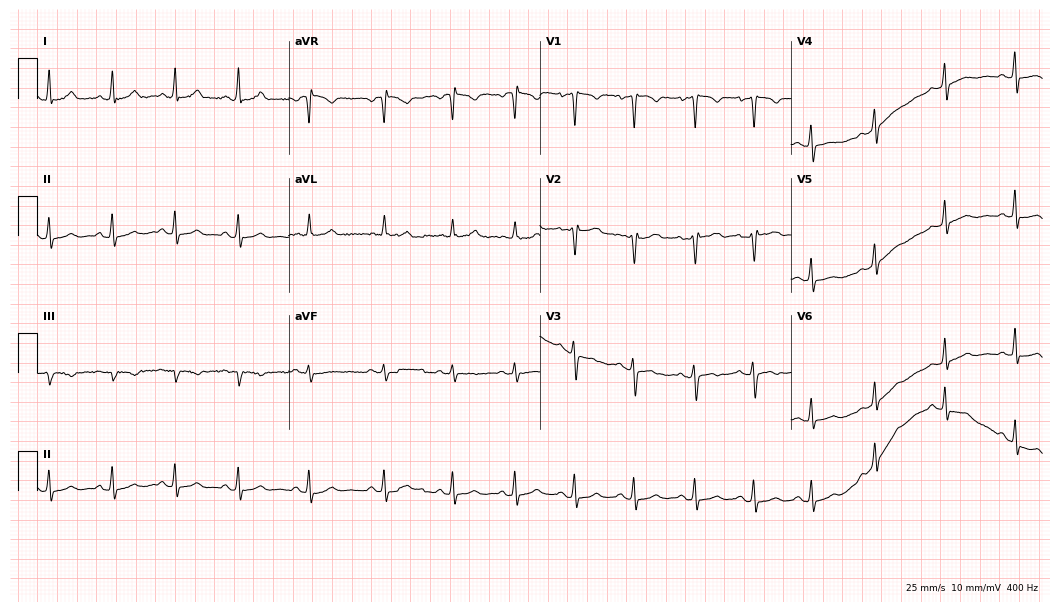
Resting 12-lead electrocardiogram. Patient: a female, 31 years old. None of these six findings is recorded: first-degree AV block, right bundle branch block, left bundle branch block, sinus bradycardia, atrial fibrillation, sinus tachycardia. Other findings, if any, are not listed.